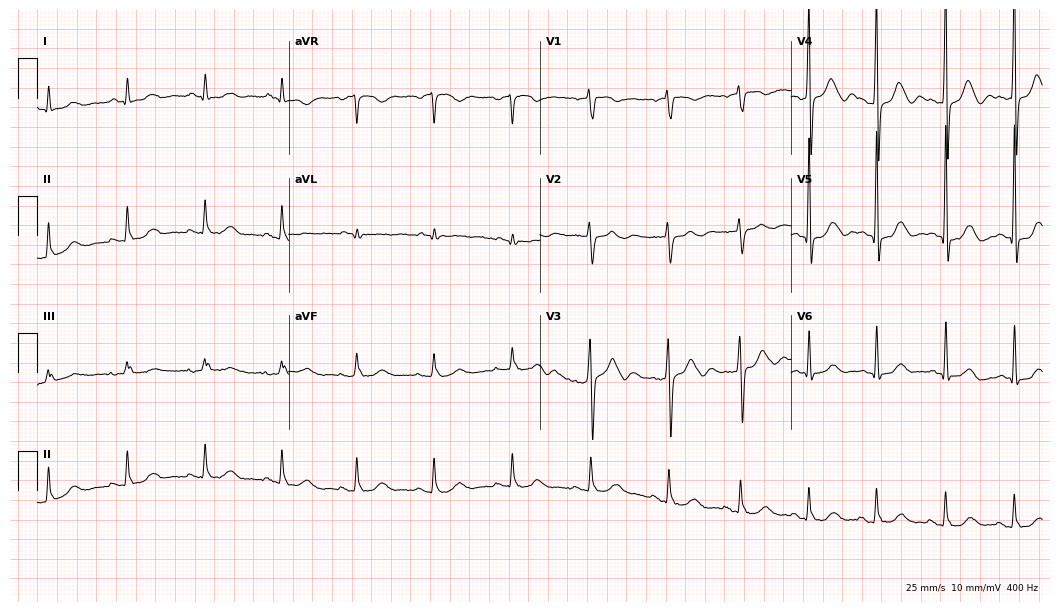
Resting 12-lead electrocardiogram (10.2-second recording at 400 Hz). Patient: a 43-year-old male. None of these six findings is recorded: first-degree AV block, right bundle branch block, left bundle branch block, sinus bradycardia, atrial fibrillation, sinus tachycardia.